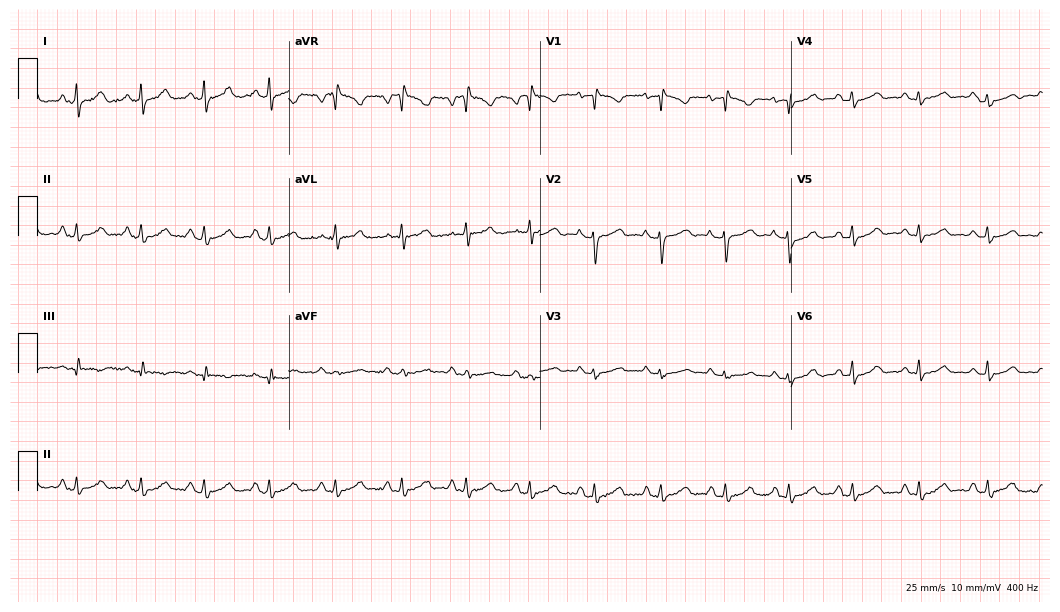
12-lead ECG from a woman, 40 years old. Recorded interpretation: within normal limits.